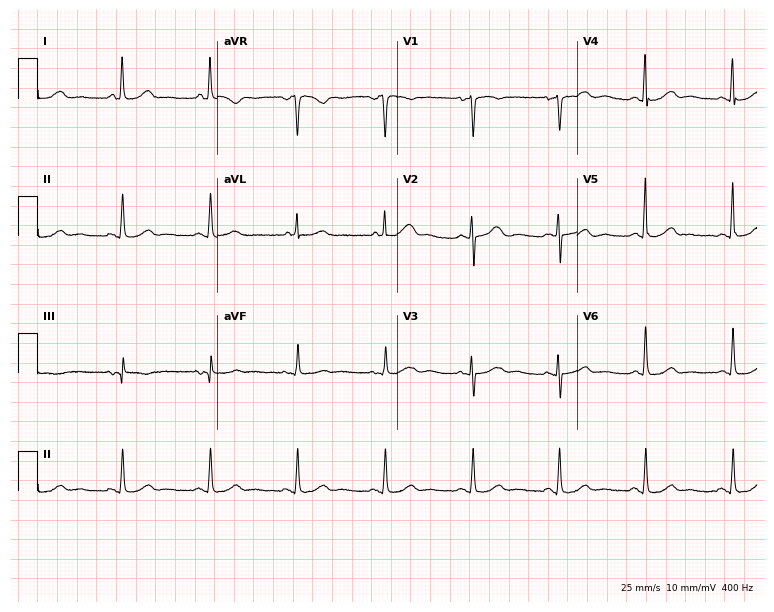
ECG (7.3-second recording at 400 Hz) — a 72-year-old woman. Labelled as a normal ECG.